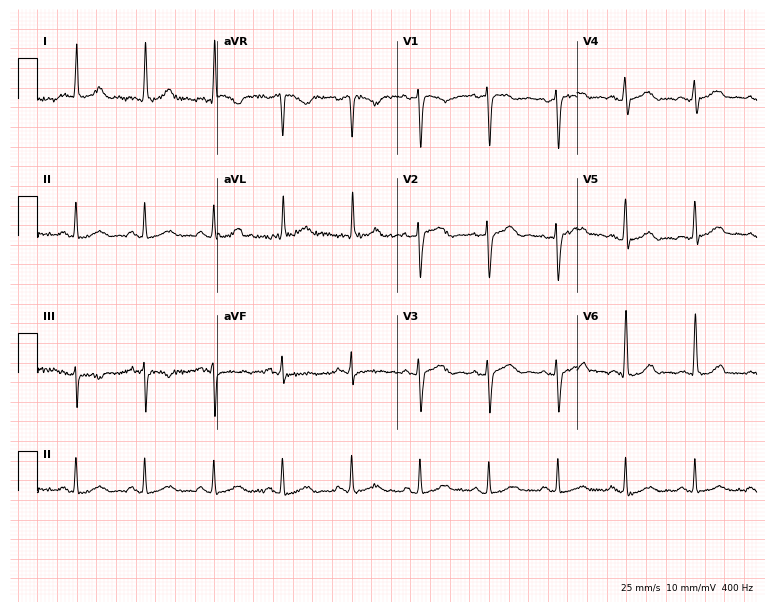
Resting 12-lead electrocardiogram. Patient: a 50-year-old female. Read as a normal ECG.